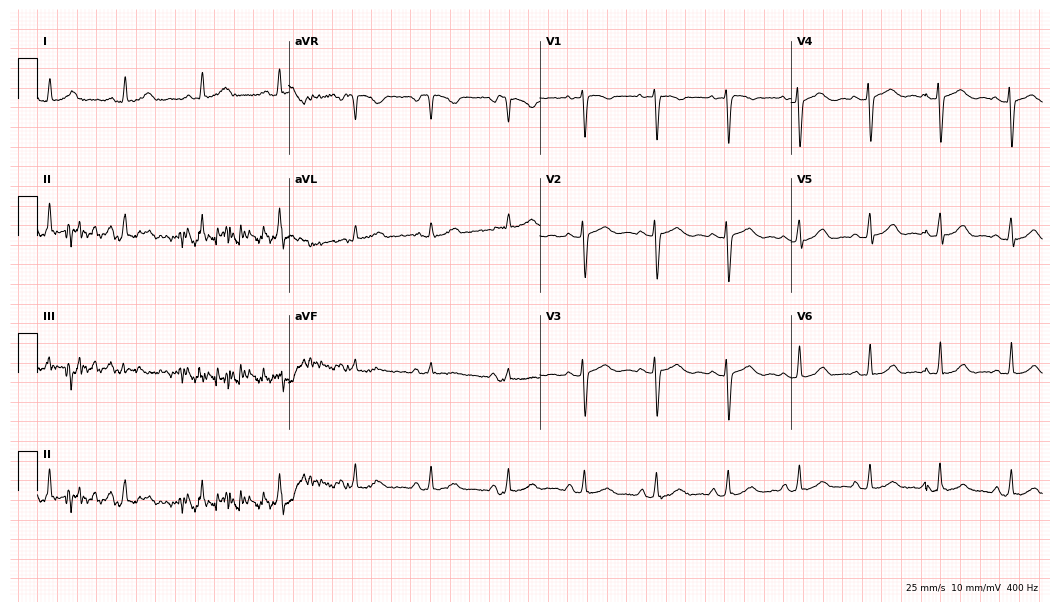
Standard 12-lead ECG recorded from a 29-year-old woman (10.2-second recording at 400 Hz). Read as a normal ECG.